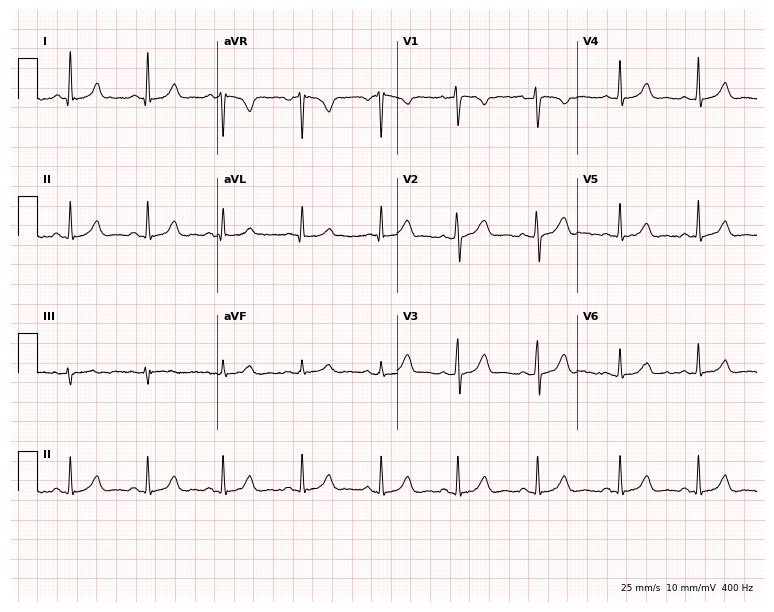
12-lead ECG from a 34-year-old female. Recorded interpretation: within normal limits.